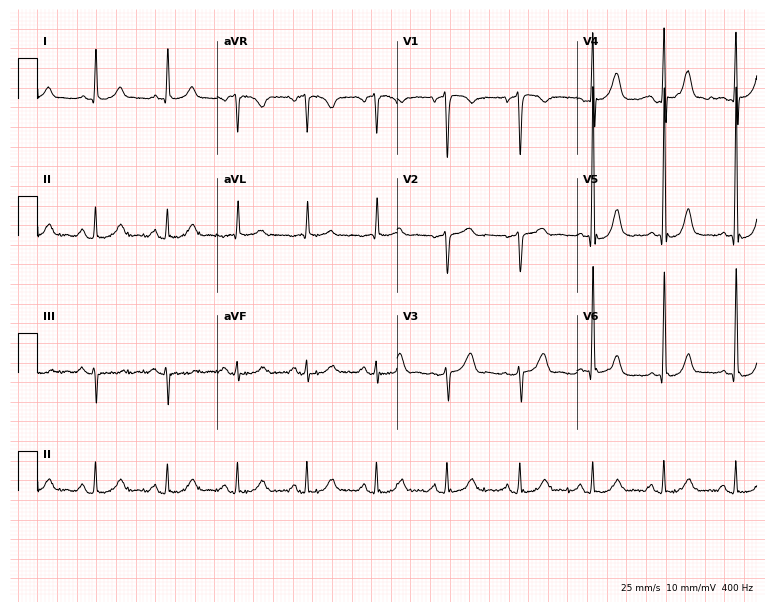
Electrocardiogram, a male, 72 years old. Of the six screened findings (first-degree AV block, right bundle branch block (RBBB), left bundle branch block (LBBB), sinus bradycardia, atrial fibrillation (AF), sinus tachycardia), none is recorded.